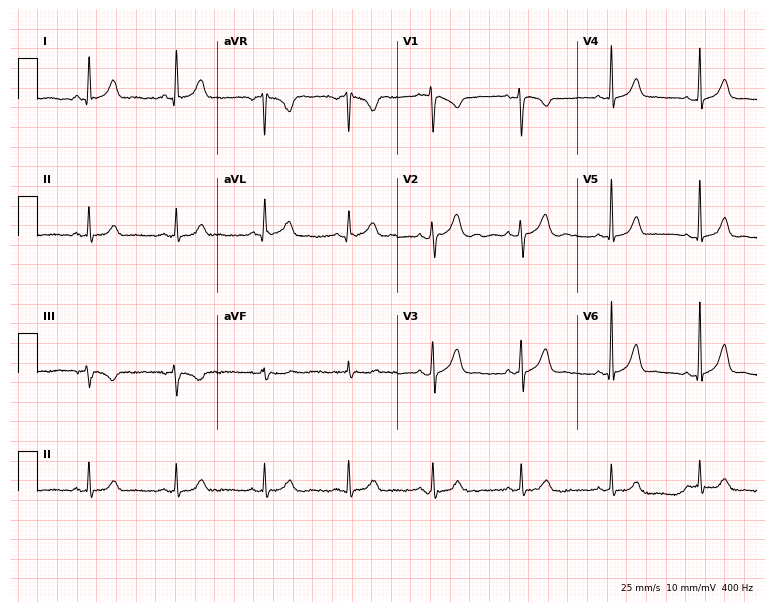
Electrocardiogram, a 33-year-old female patient. Overall reading on record: normal ECG.